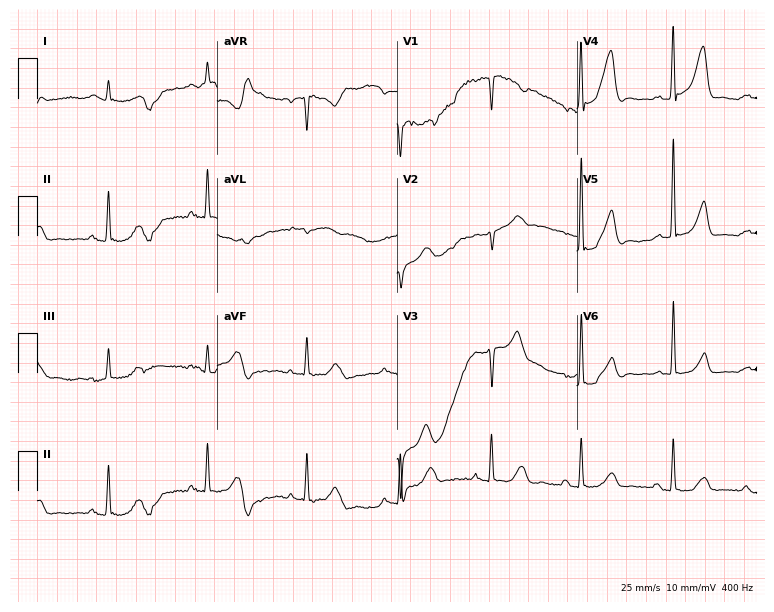
12-lead ECG from a man, 58 years old. Screened for six findings — first-degree AV block, right bundle branch block (RBBB), left bundle branch block (LBBB), sinus bradycardia, atrial fibrillation (AF), sinus tachycardia — none is recorded. Other findings, if any, are not listed.